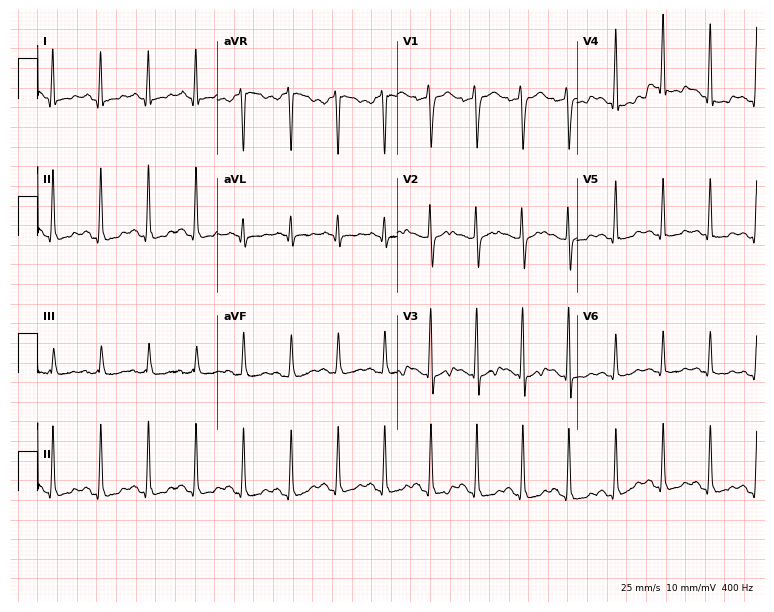
12-lead ECG from a 32-year-old male. Shows sinus tachycardia (a sinus rate of 100 beats per minute or more).